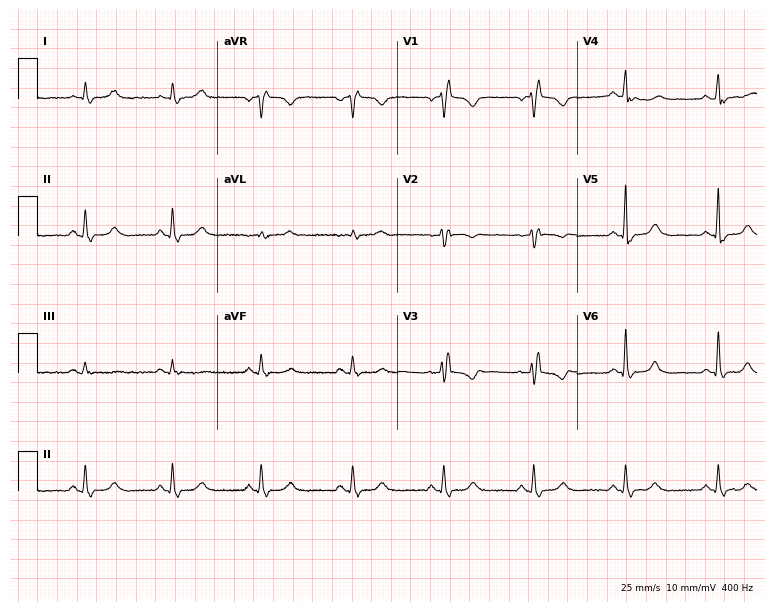
Electrocardiogram, a 61-year-old female. Of the six screened findings (first-degree AV block, right bundle branch block, left bundle branch block, sinus bradycardia, atrial fibrillation, sinus tachycardia), none is recorded.